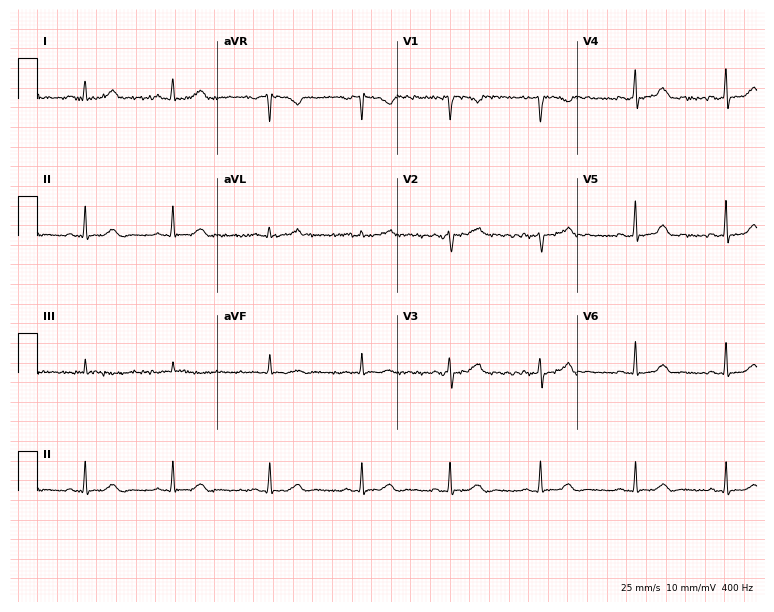
Standard 12-lead ECG recorded from a female patient, 34 years old. Read as a normal ECG.